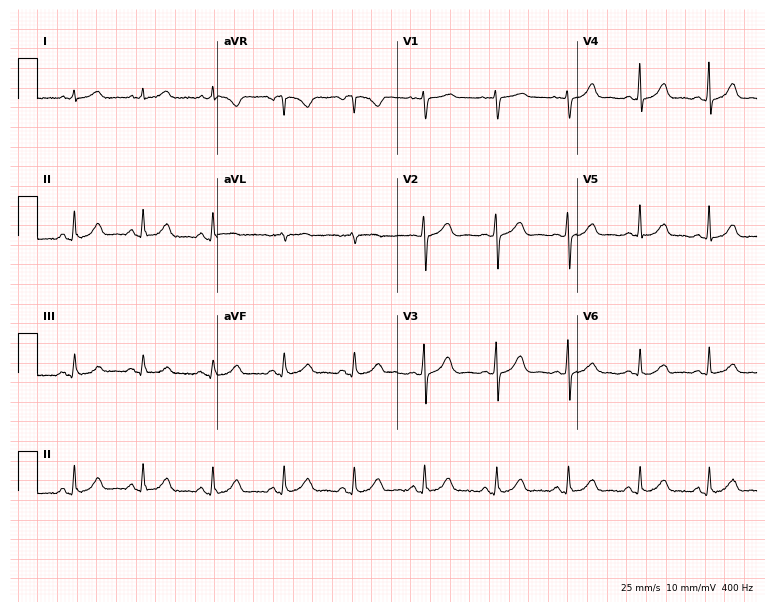
Resting 12-lead electrocardiogram (7.3-second recording at 400 Hz). Patient: a female, 49 years old. Read as a normal ECG.